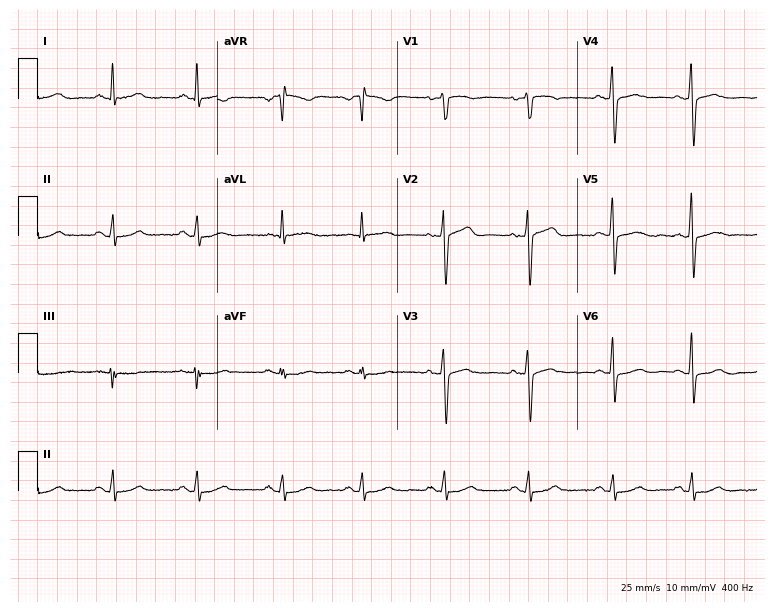
12-lead ECG (7.3-second recording at 400 Hz) from a 38-year-old female. Labelled as a normal ECG.